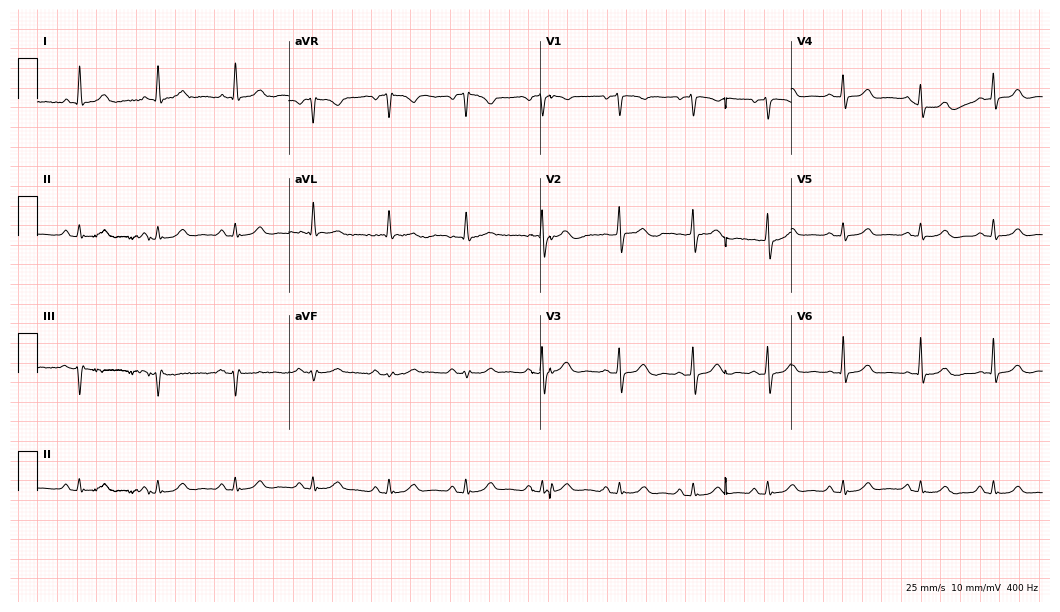
Electrocardiogram, a female, 79 years old. Of the six screened findings (first-degree AV block, right bundle branch block, left bundle branch block, sinus bradycardia, atrial fibrillation, sinus tachycardia), none is recorded.